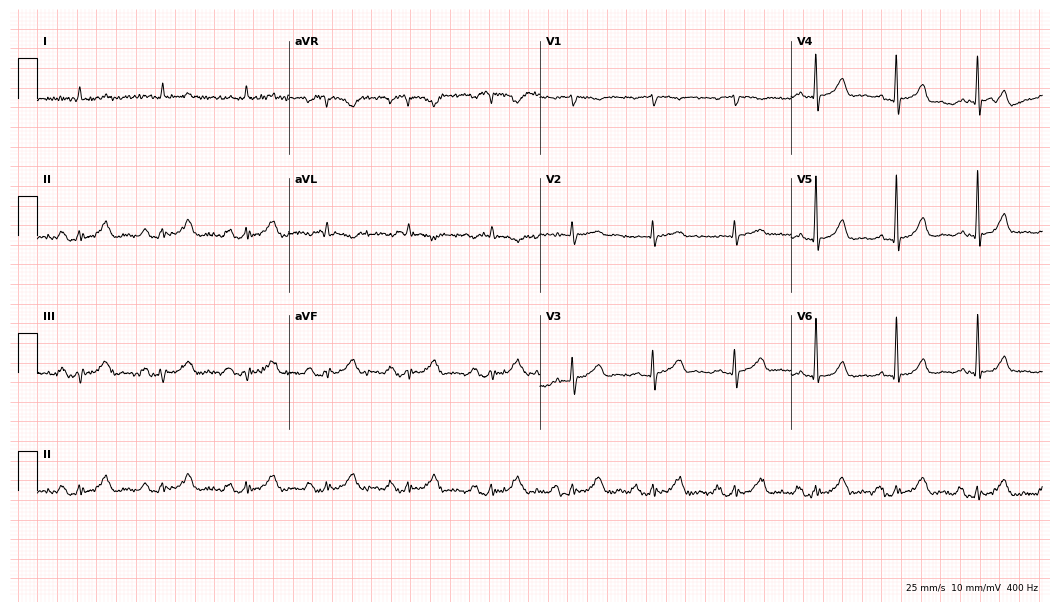
Electrocardiogram (10.2-second recording at 400 Hz), a 78-year-old male patient. Of the six screened findings (first-degree AV block, right bundle branch block, left bundle branch block, sinus bradycardia, atrial fibrillation, sinus tachycardia), none is recorded. Only these six findings were labelled.